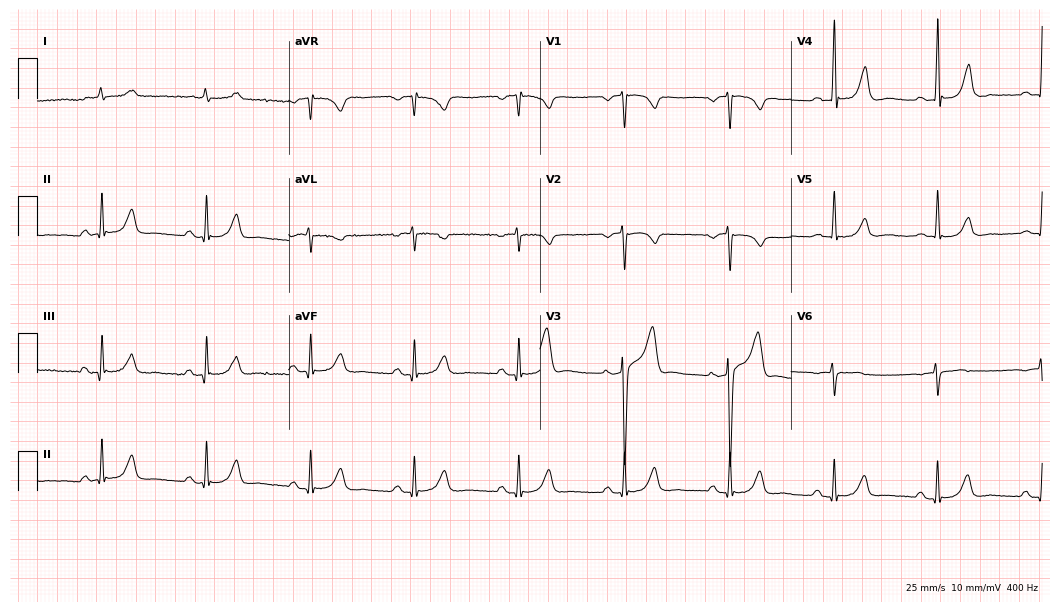
12-lead ECG from a male, 72 years old (10.2-second recording at 400 Hz). Recorded interpretation: within normal limits.